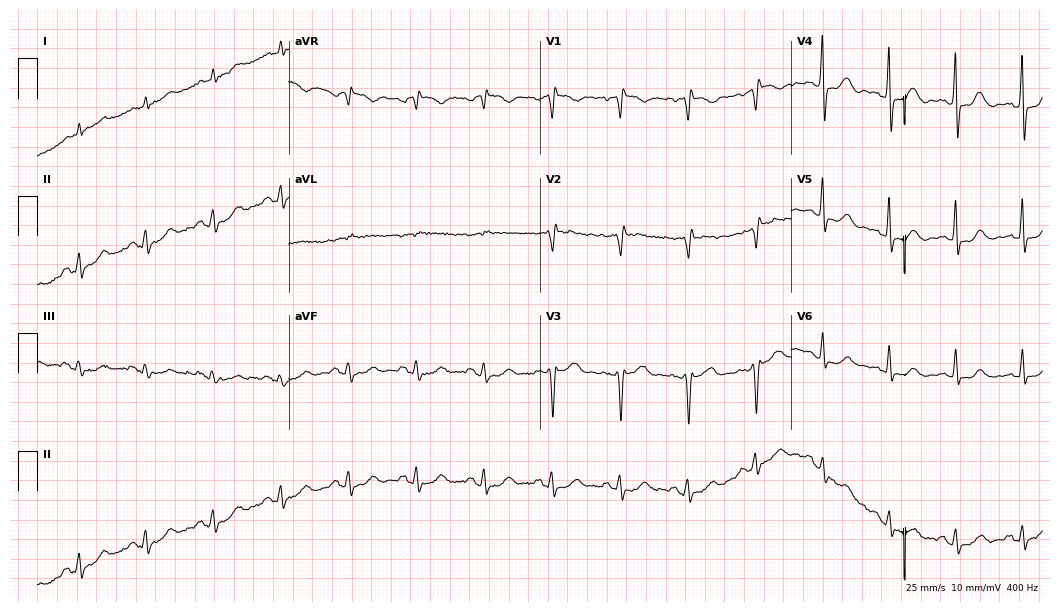
Electrocardiogram (10.2-second recording at 400 Hz), a 69-year-old male patient. Of the six screened findings (first-degree AV block, right bundle branch block, left bundle branch block, sinus bradycardia, atrial fibrillation, sinus tachycardia), none is recorded. Findings outside these six are not listed.